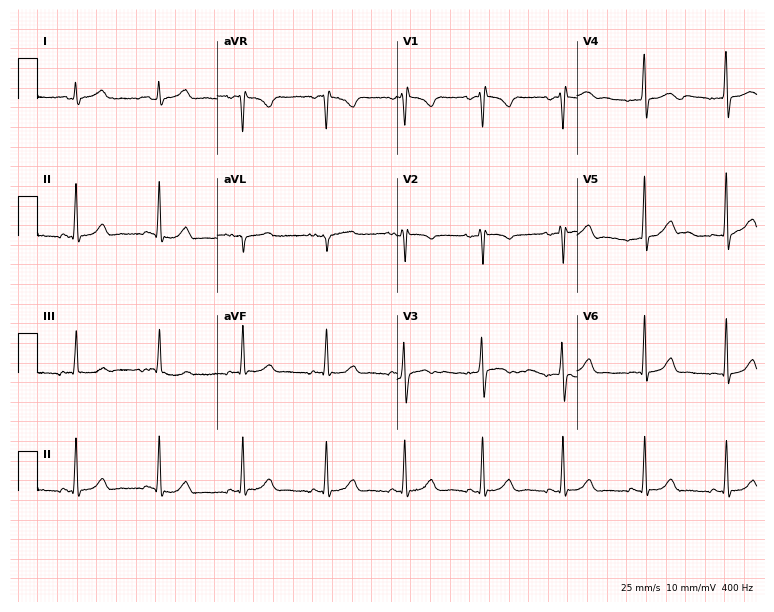
12-lead ECG from a woman, 17 years old (7.3-second recording at 400 Hz). No first-degree AV block, right bundle branch block, left bundle branch block, sinus bradycardia, atrial fibrillation or sinus tachycardia recorded for this tracing.